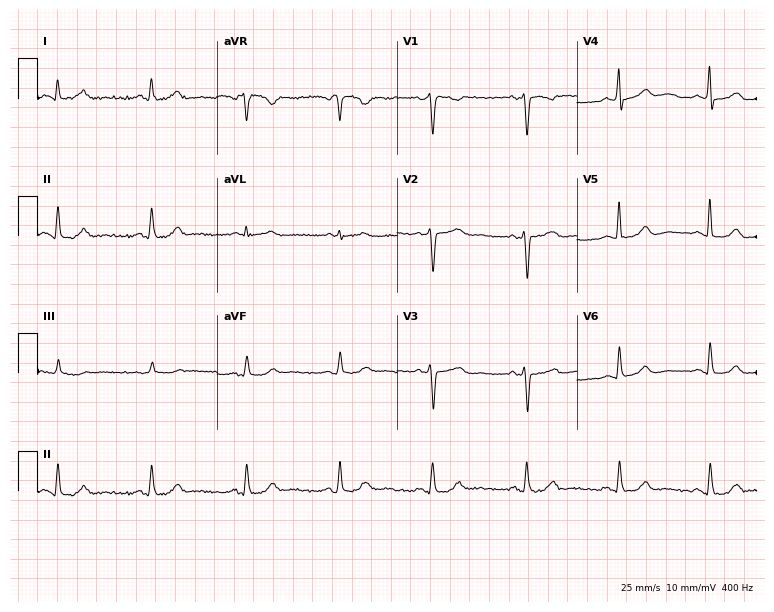
ECG — a 47-year-old female patient. Screened for six findings — first-degree AV block, right bundle branch block (RBBB), left bundle branch block (LBBB), sinus bradycardia, atrial fibrillation (AF), sinus tachycardia — none is recorded.